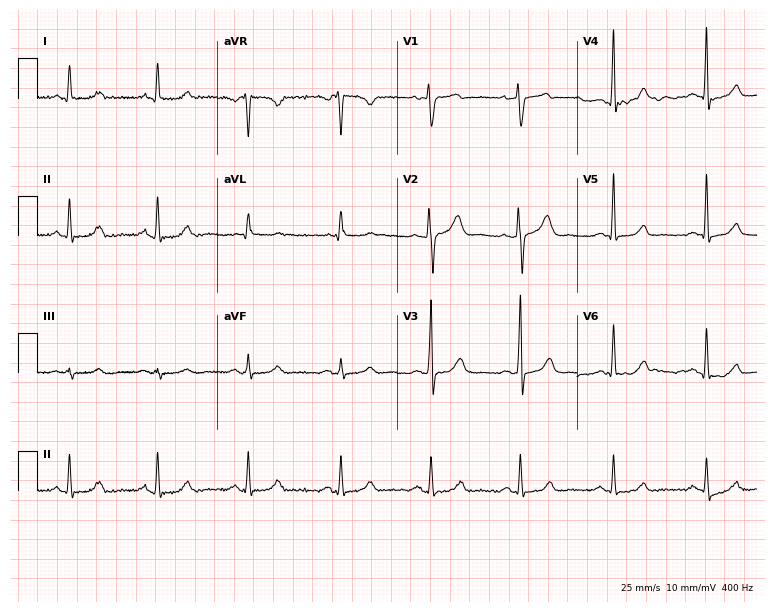
Standard 12-lead ECG recorded from a 48-year-old female patient (7.3-second recording at 400 Hz). None of these six findings is recorded: first-degree AV block, right bundle branch block, left bundle branch block, sinus bradycardia, atrial fibrillation, sinus tachycardia. Only these six findings were labelled.